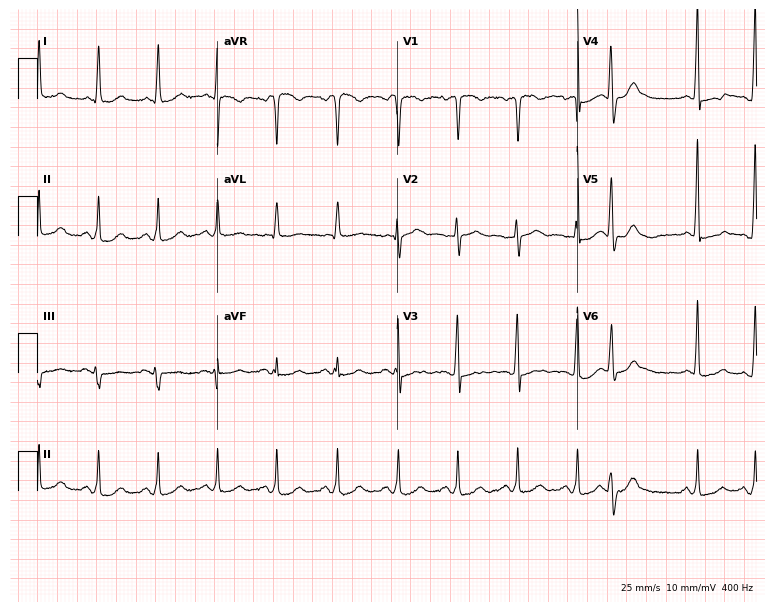
Standard 12-lead ECG recorded from a 67-year-old female. None of these six findings is recorded: first-degree AV block, right bundle branch block, left bundle branch block, sinus bradycardia, atrial fibrillation, sinus tachycardia. Other findings, if any, are not listed.